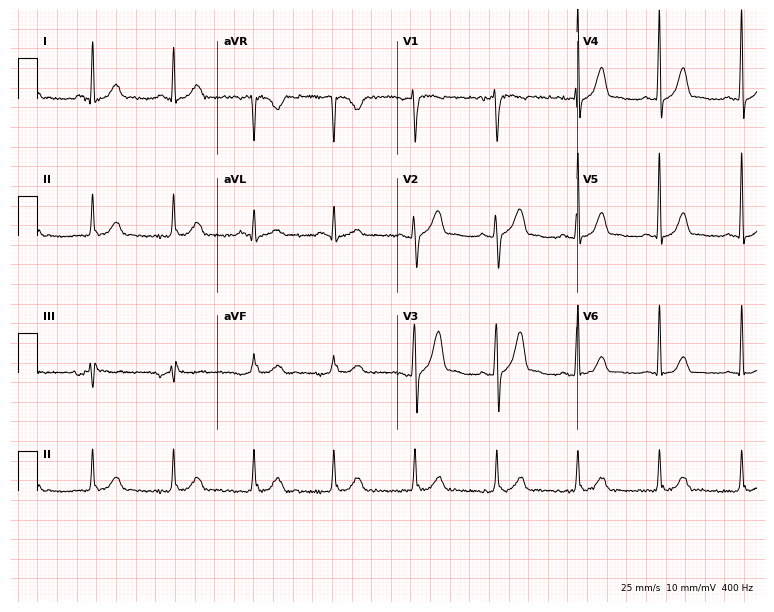
ECG (7.3-second recording at 400 Hz) — a 51-year-old male. Screened for six findings — first-degree AV block, right bundle branch block (RBBB), left bundle branch block (LBBB), sinus bradycardia, atrial fibrillation (AF), sinus tachycardia — none is recorded. Only these six findings were labelled.